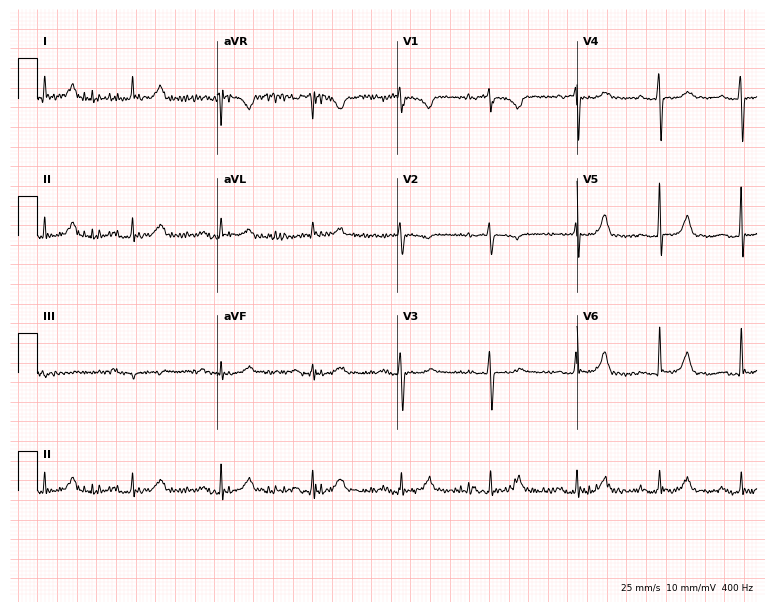
ECG — an 83-year-old woman. Labelled as a normal ECG.